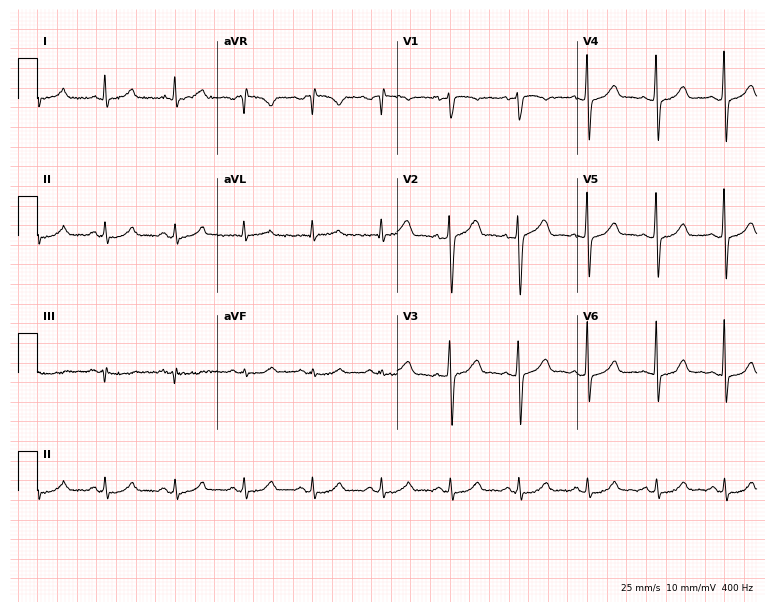
12-lead ECG from a male patient, 59 years old. Recorded interpretation: within normal limits.